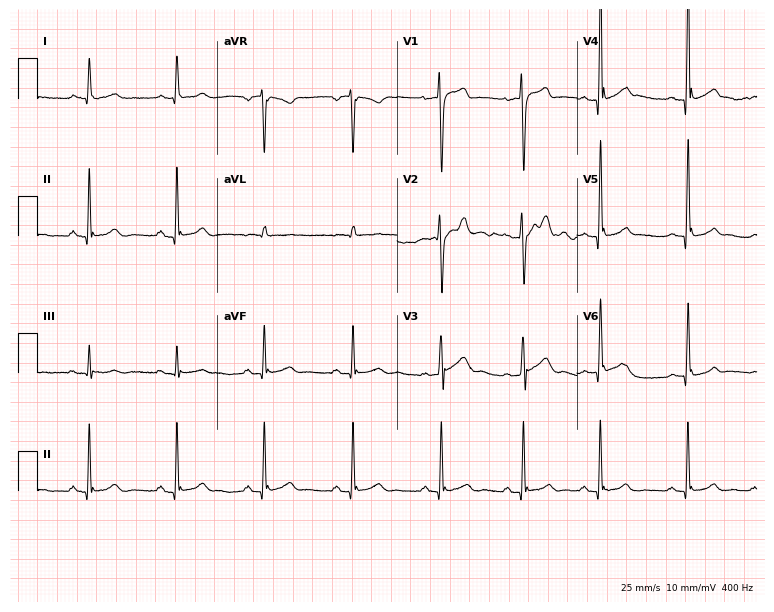
Electrocardiogram (7.3-second recording at 400 Hz), a male, 39 years old. Of the six screened findings (first-degree AV block, right bundle branch block (RBBB), left bundle branch block (LBBB), sinus bradycardia, atrial fibrillation (AF), sinus tachycardia), none is recorded.